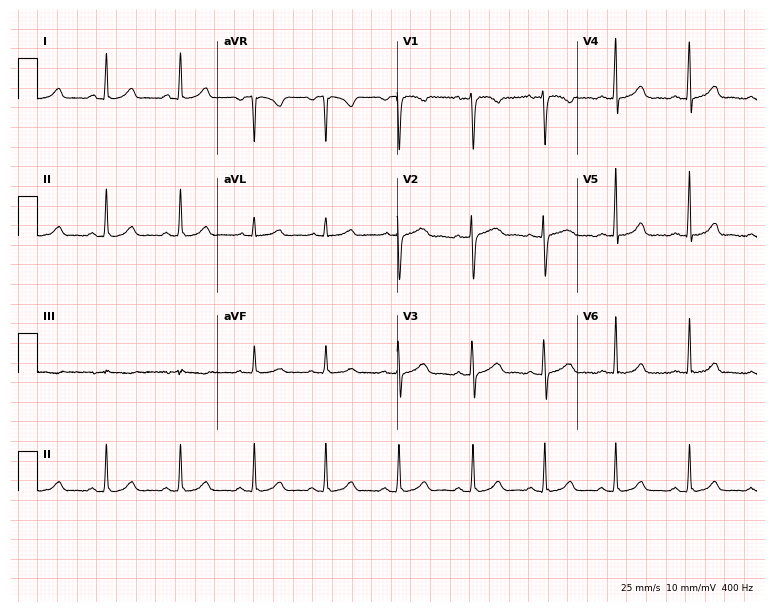
12-lead ECG from a 33-year-old woman (7.3-second recording at 400 Hz). Recorded interpretation: within normal limits.